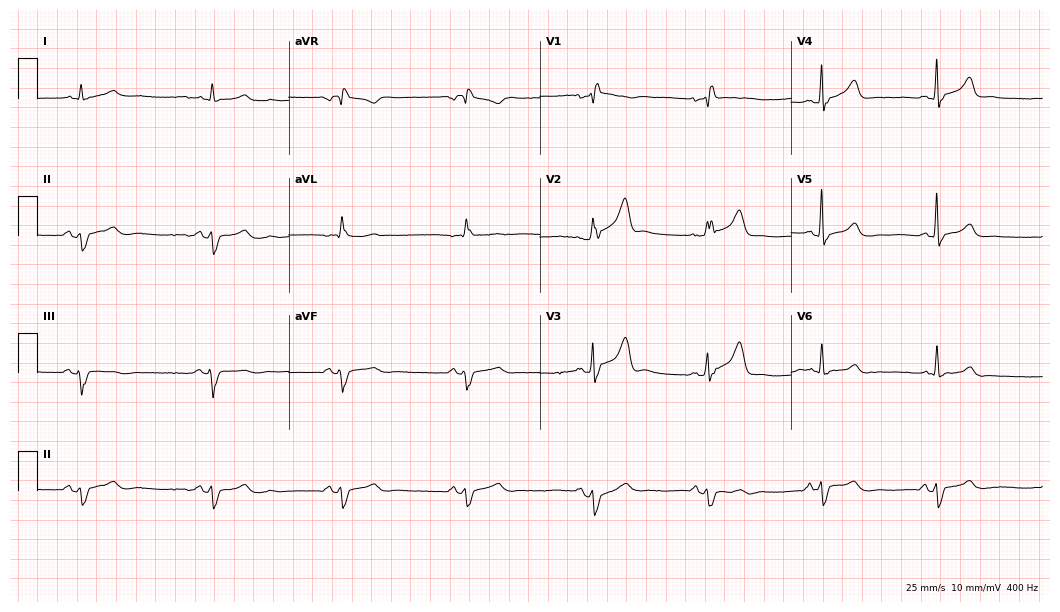
12-lead ECG from a 54-year-old man. Screened for six findings — first-degree AV block, right bundle branch block (RBBB), left bundle branch block (LBBB), sinus bradycardia, atrial fibrillation (AF), sinus tachycardia — none is recorded. Other findings, if any, are not listed.